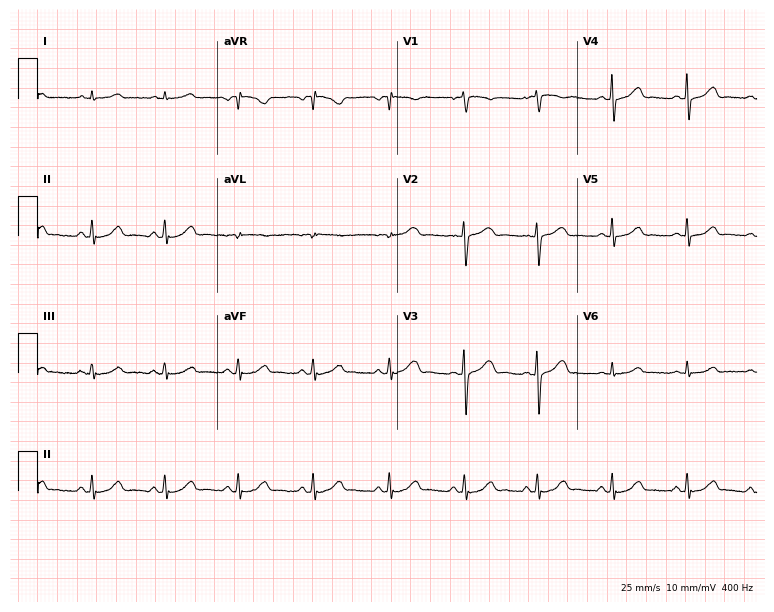
Standard 12-lead ECG recorded from a woman, 44 years old (7.3-second recording at 400 Hz). None of these six findings is recorded: first-degree AV block, right bundle branch block, left bundle branch block, sinus bradycardia, atrial fibrillation, sinus tachycardia. Findings outside these six are not listed.